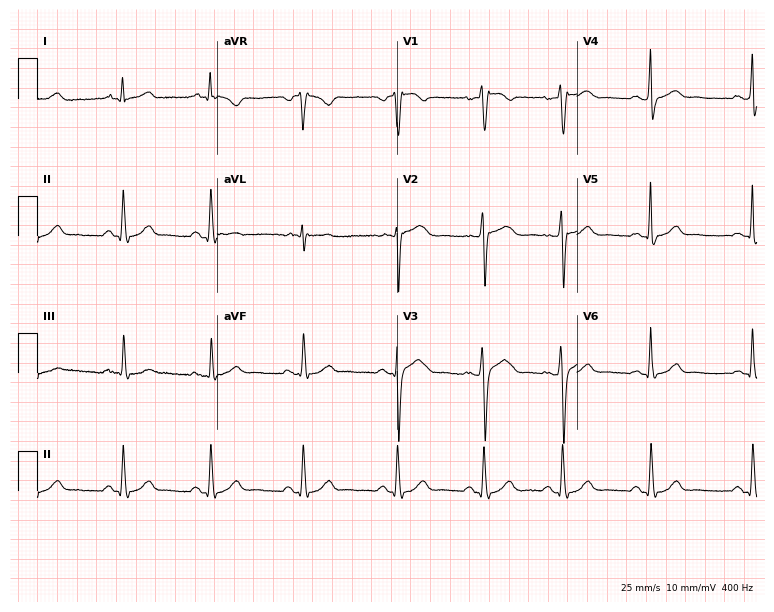
Standard 12-lead ECG recorded from a 29-year-old female patient. None of these six findings is recorded: first-degree AV block, right bundle branch block (RBBB), left bundle branch block (LBBB), sinus bradycardia, atrial fibrillation (AF), sinus tachycardia. Findings outside these six are not listed.